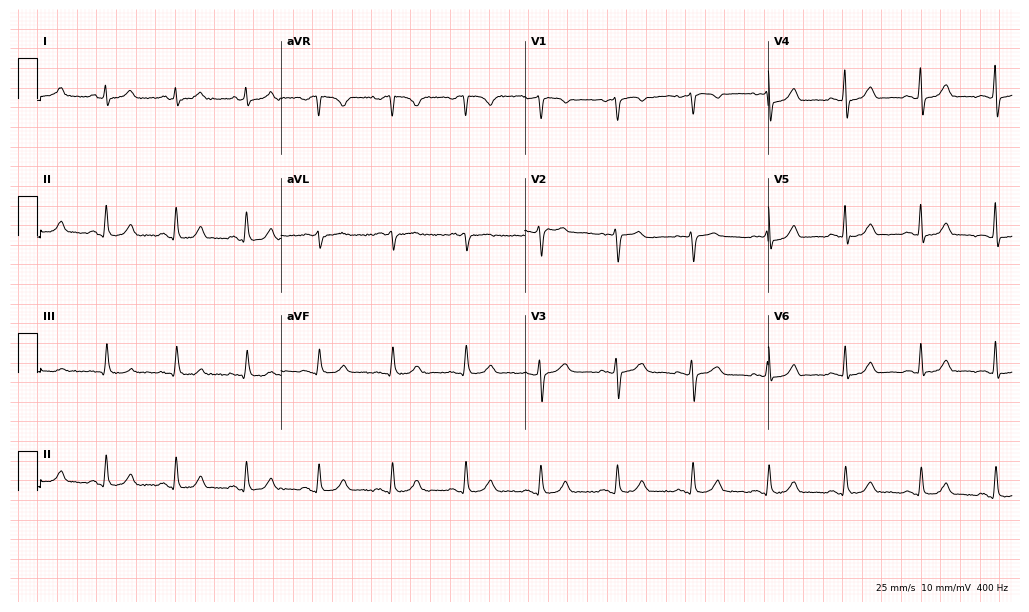
ECG (9.9-second recording at 400 Hz) — a 47-year-old female patient. Labelled as a normal ECG.